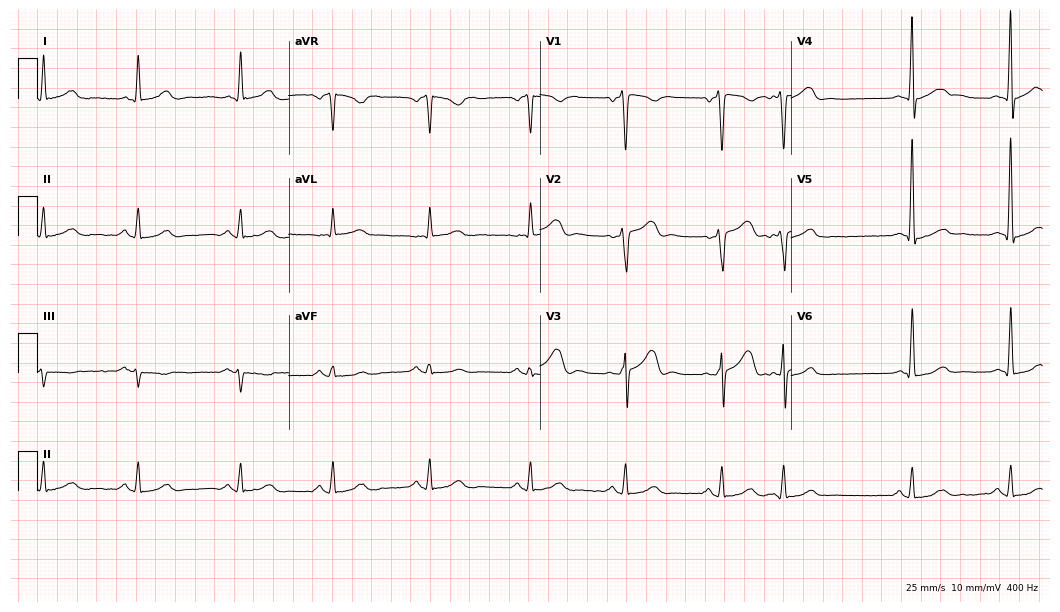
Resting 12-lead electrocardiogram (10.2-second recording at 400 Hz). Patient: a man, 55 years old. Read as a normal ECG.